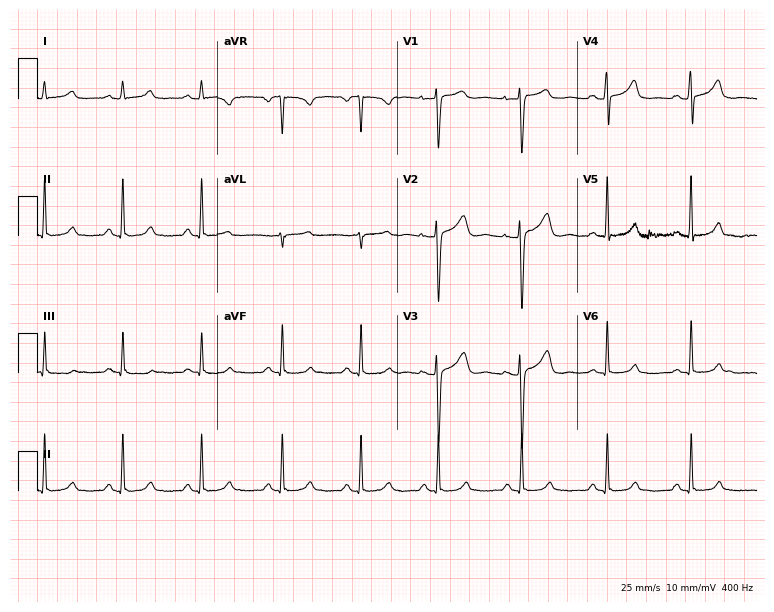
12-lead ECG from a 29-year-old woman (7.3-second recording at 400 Hz). Recorded interpretation: within normal limits.